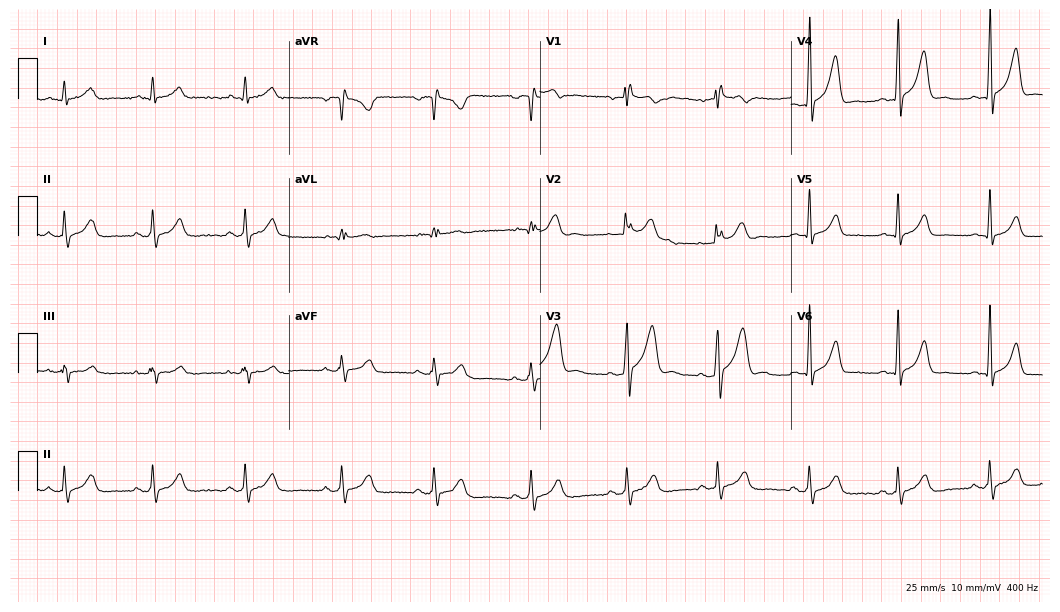
Electrocardiogram (10.2-second recording at 400 Hz), a 38-year-old male patient. Of the six screened findings (first-degree AV block, right bundle branch block (RBBB), left bundle branch block (LBBB), sinus bradycardia, atrial fibrillation (AF), sinus tachycardia), none is recorded. Findings outside these six are not listed.